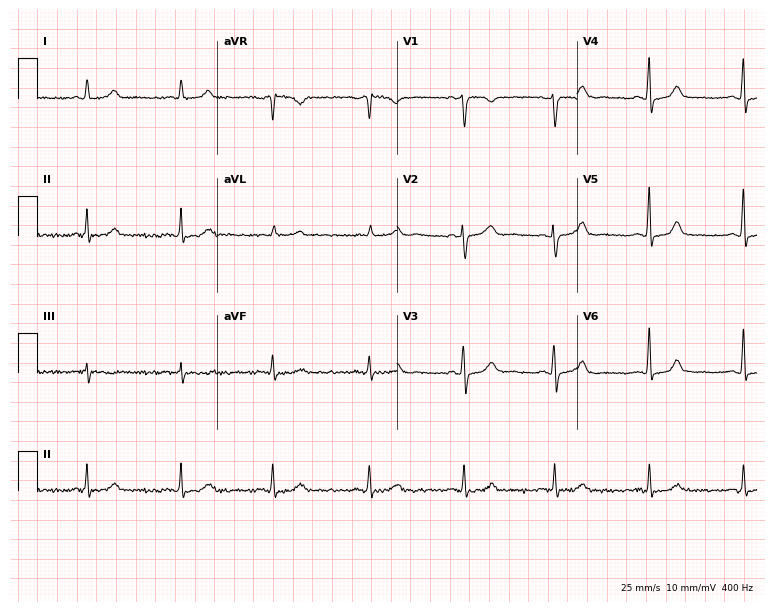
Resting 12-lead electrocardiogram. Patient: a female, 52 years old. None of these six findings is recorded: first-degree AV block, right bundle branch block (RBBB), left bundle branch block (LBBB), sinus bradycardia, atrial fibrillation (AF), sinus tachycardia. Only these six findings were labelled.